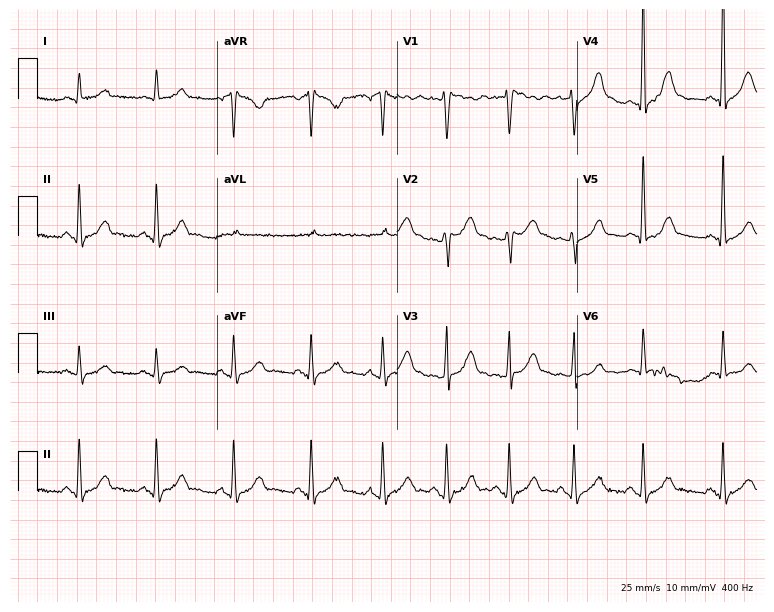
ECG (7.3-second recording at 400 Hz) — a male patient, 54 years old. Screened for six findings — first-degree AV block, right bundle branch block (RBBB), left bundle branch block (LBBB), sinus bradycardia, atrial fibrillation (AF), sinus tachycardia — none is recorded. Findings outside these six are not listed.